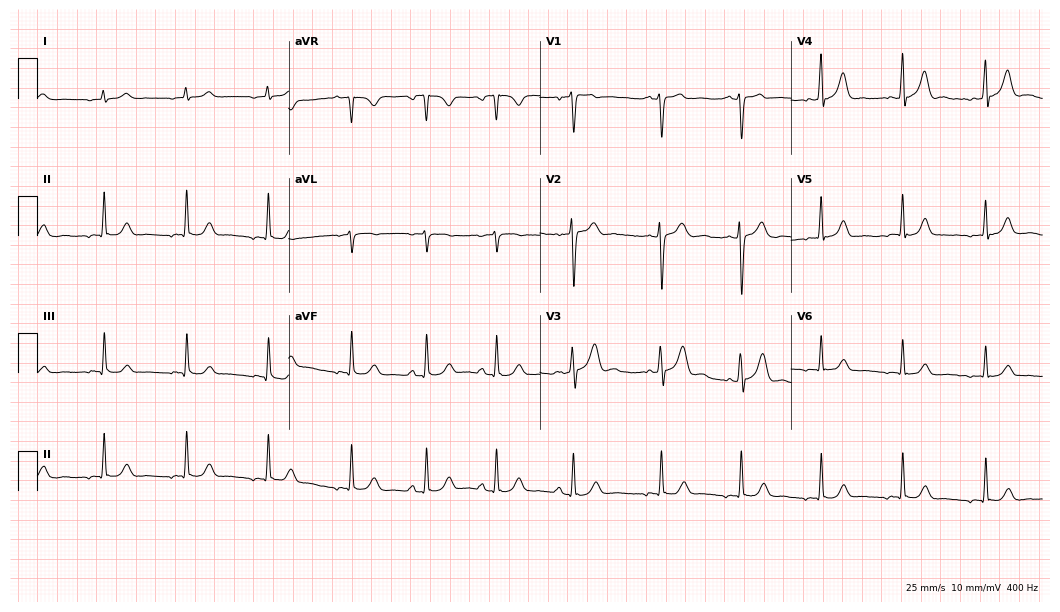
Electrocardiogram (10.2-second recording at 400 Hz), a 30-year-old male patient. Overall reading on record: normal ECG.